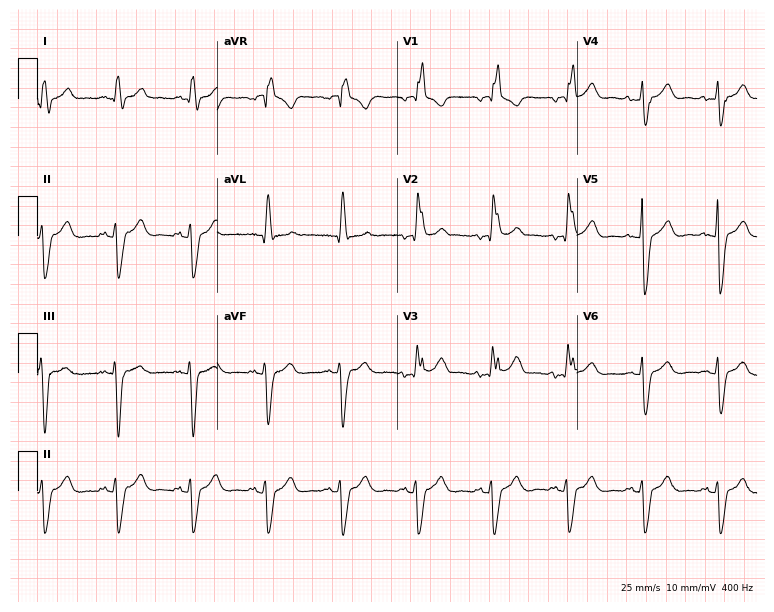
Resting 12-lead electrocardiogram (7.3-second recording at 400 Hz). Patient: a male, 82 years old. The tracing shows right bundle branch block.